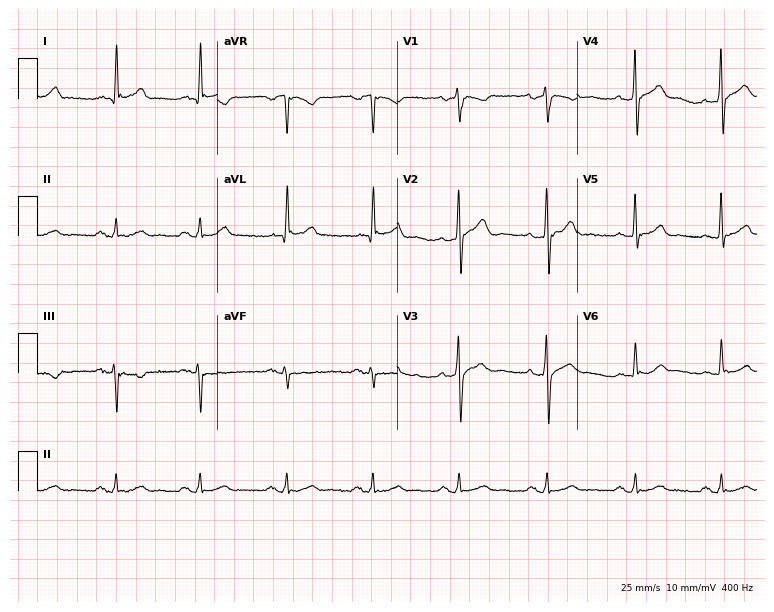
12-lead ECG from a male, 60 years old. No first-degree AV block, right bundle branch block, left bundle branch block, sinus bradycardia, atrial fibrillation or sinus tachycardia recorded for this tracing.